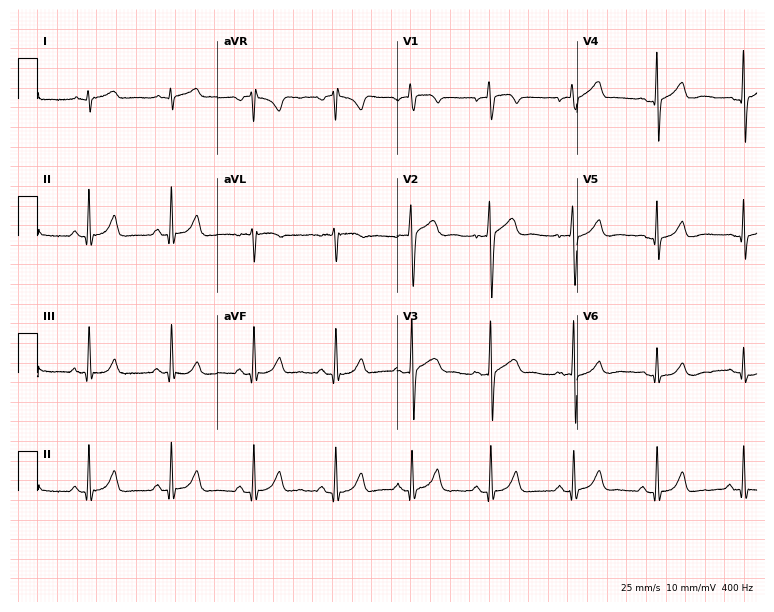
Electrocardiogram, a 29-year-old man. Of the six screened findings (first-degree AV block, right bundle branch block (RBBB), left bundle branch block (LBBB), sinus bradycardia, atrial fibrillation (AF), sinus tachycardia), none is recorded. Only these six findings were labelled.